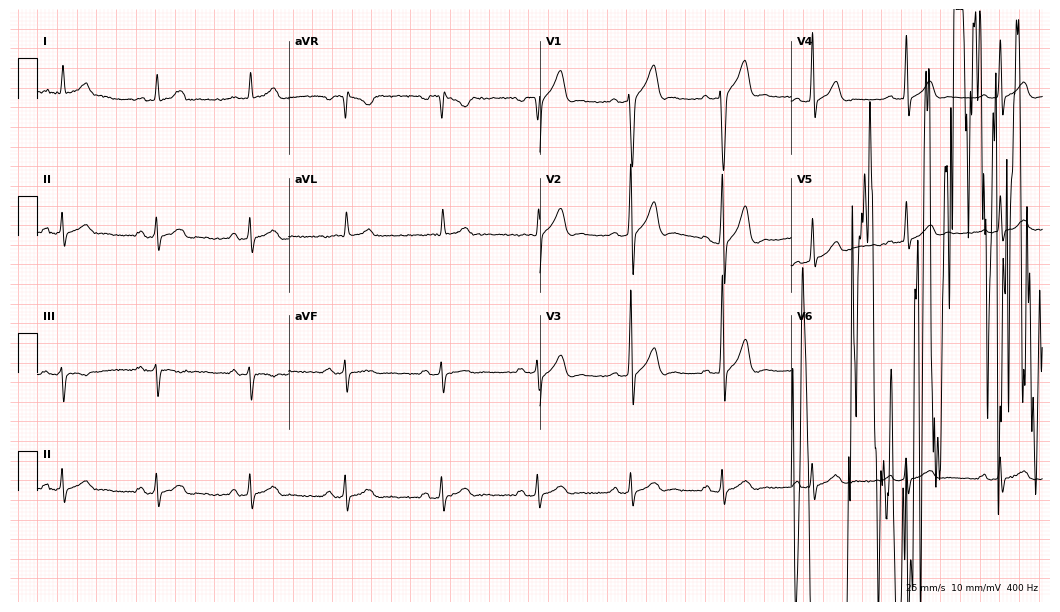
ECG (10.2-second recording at 400 Hz) — a man, 52 years old. Screened for six findings — first-degree AV block, right bundle branch block, left bundle branch block, sinus bradycardia, atrial fibrillation, sinus tachycardia — none is recorded.